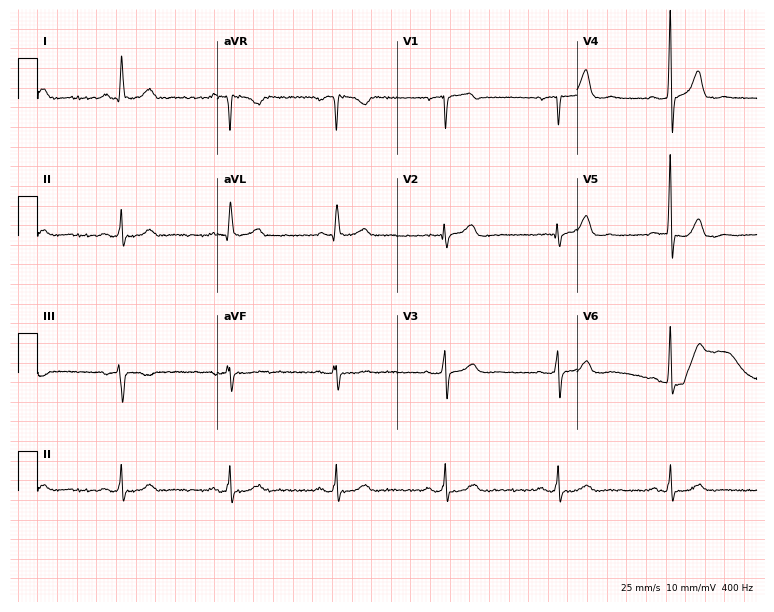
Resting 12-lead electrocardiogram (7.3-second recording at 400 Hz). Patient: a 55-year-old male. None of these six findings is recorded: first-degree AV block, right bundle branch block (RBBB), left bundle branch block (LBBB), sinus bradycardia, atrial fibrillation (AF), sinus tachycardia. Findings outside these six are not listed.